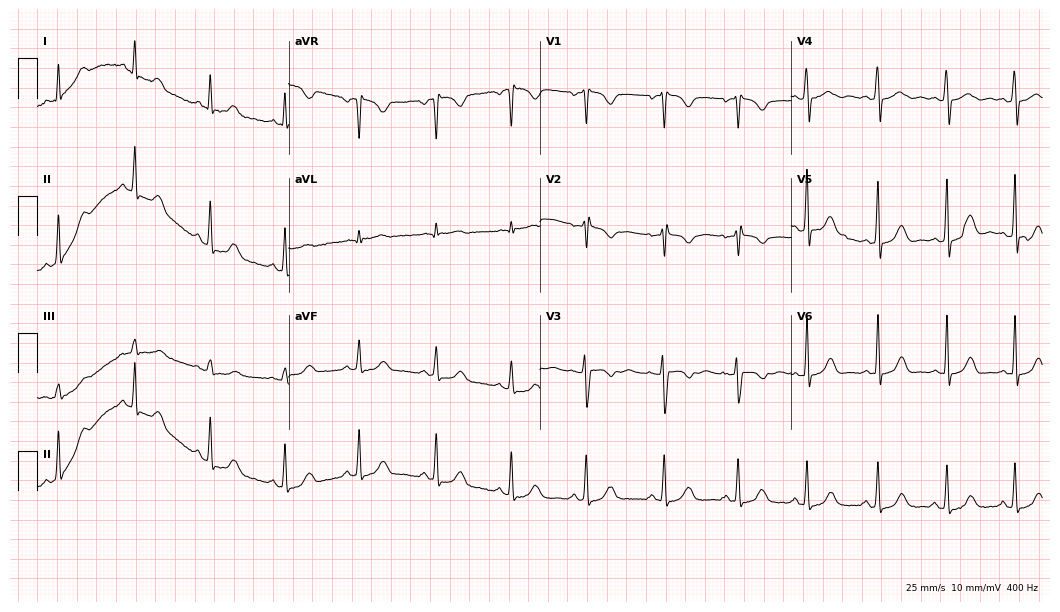
ECG (10.2-second recording at 400 Hz) — a woman, 26 years old. Labelled as a normal ECG.